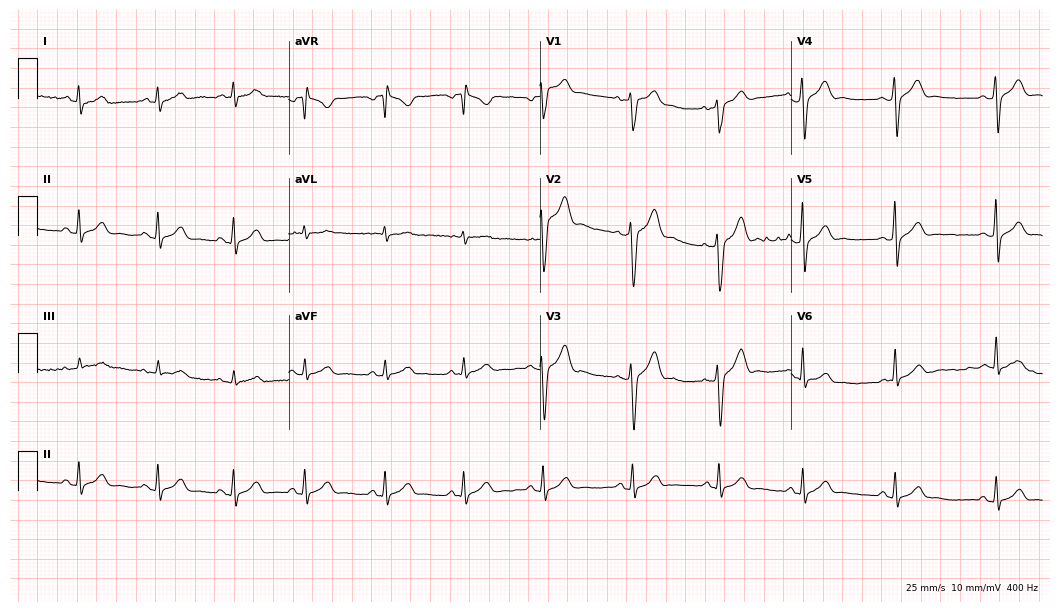
ECG — a male, 29 years old. Screened for six findings — first-degree AV block, right bundle branch block, left bundle branch block, sinus bradycardia, atrial fibrillation, sinus tachycardia — none is recorded.